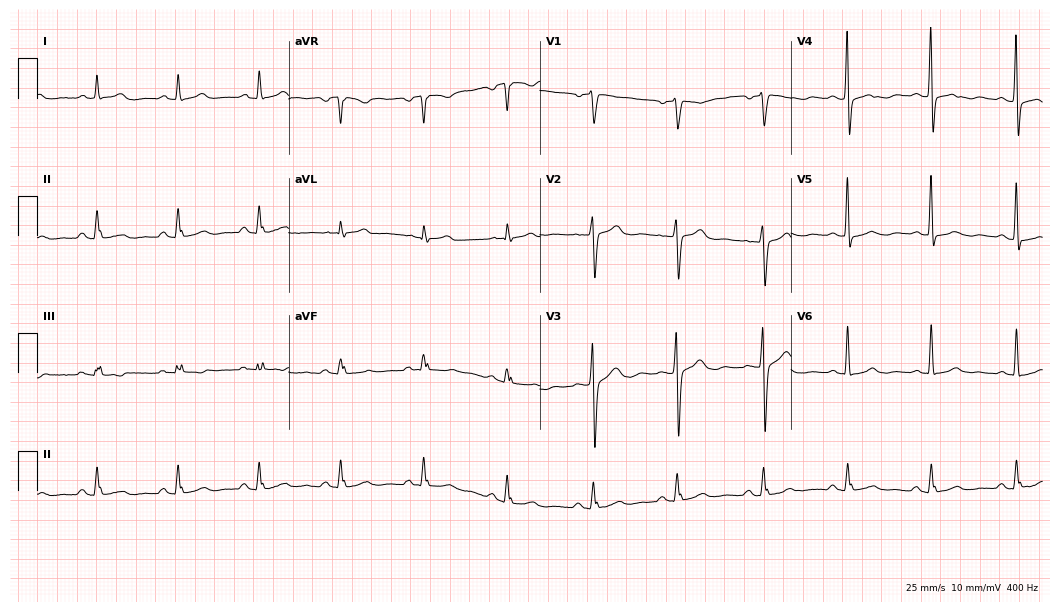
Standard 12-lead ECG recorded from a 53-year-old woman. Read as a normal ECG.